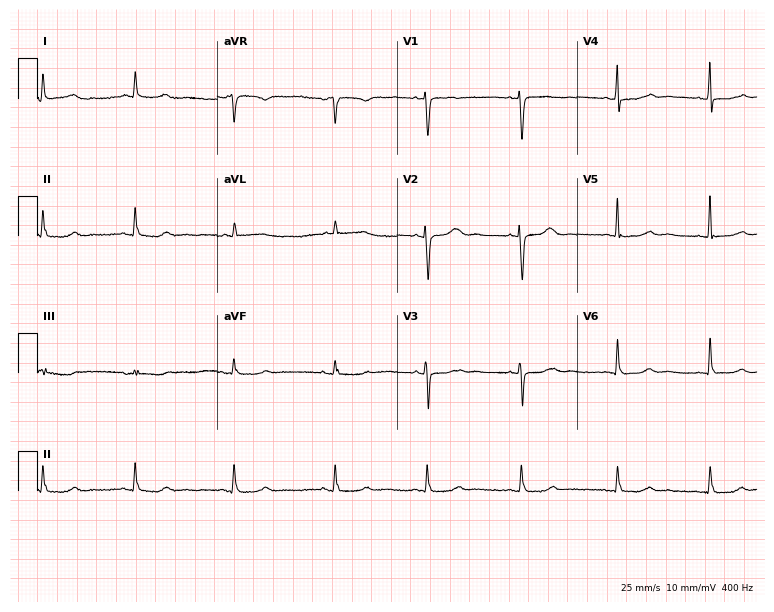
12-lead ECG from a 61-year-old woman. No first-degree AV block, right bundle branch block, left bundle branch block, sinus bradycardia, atrial fibrillation or sinus tachycardia recorded for this tracing.